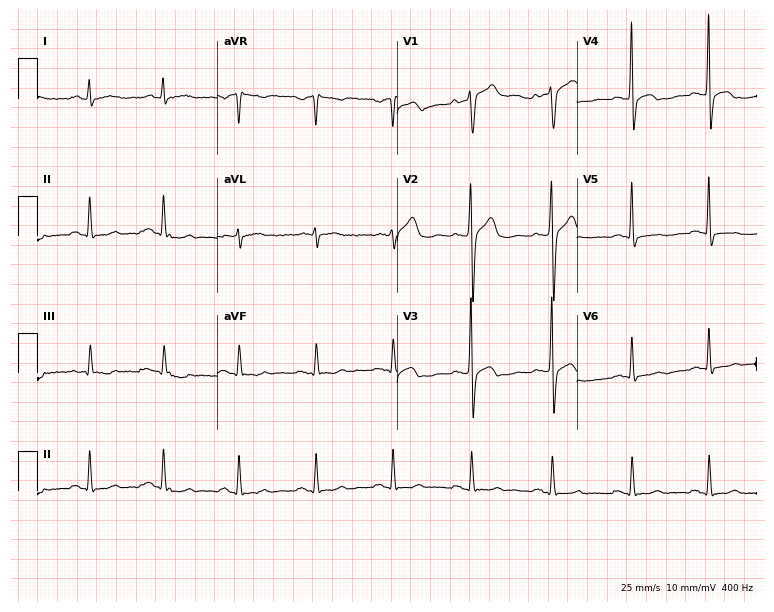
12-lead ECG (7.3-second recording at 400 Hz) from a 53-year-old man. Screened for six findings — first-degree AV block, right bundle branch block (RBBB), left bundle branch block (LBBB), sinus bradycardia, atrial fibrillation (AF), sinus tachycardia — none is recorded. Other findings, if any, are not listed.